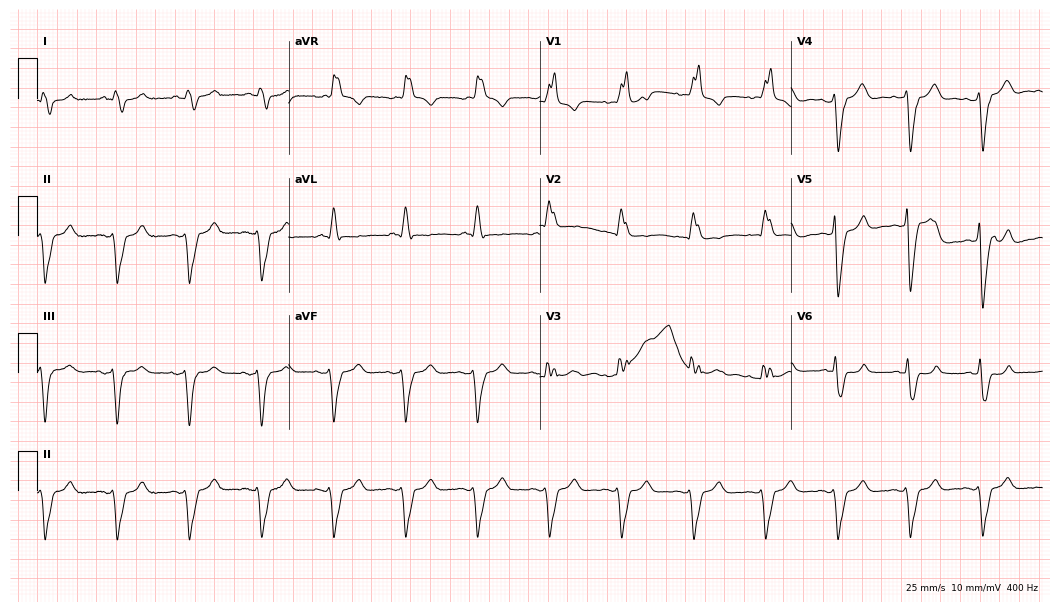
ECG (10.2-second recording at 400 Hz) — a 66-year-old male patient. Findings include right bundle branch block.